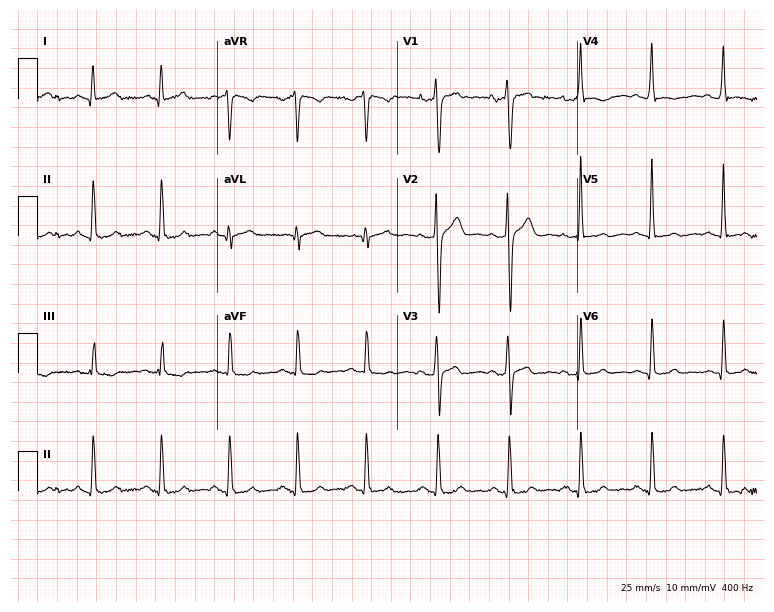
ECG (7.3-second recording at 400 Hz) — a male patient, 28 years old. Screened for six findings — first-degree AV block, right bundle branch block, left bundle branch block, sinus bradycardia, atrial fibrillation, sinus tachycardia — none is recorded. Other findings, if any, are not listed.